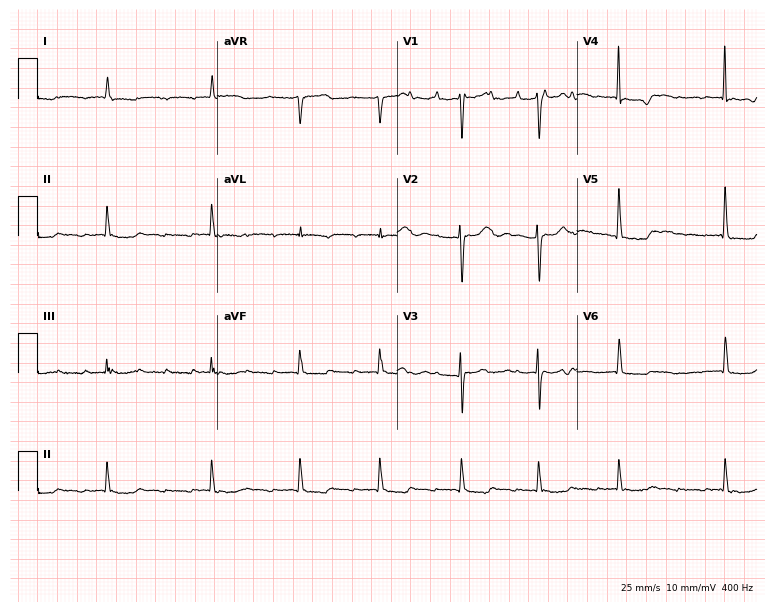
Resting 12-lead electrocardiogram. Patient: an 83-year-old woman. The tracing shows atrial fibrillation.